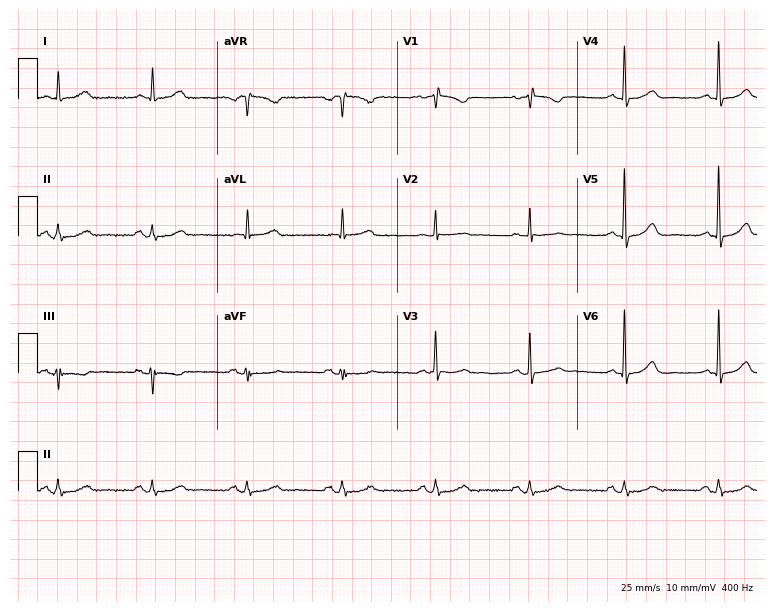
Standard 12-lead ECG recorded from a 76-year-old woman (7.3-second recording at 400 Hz). None of these six findings is recorded: first-degree AV block, right bundle branch block (RBBB), left bundle branch block (LBBB), sinus bradycardia, atrial fibrillation (AF), sinus tachycardia. Only these six findings were labelled.